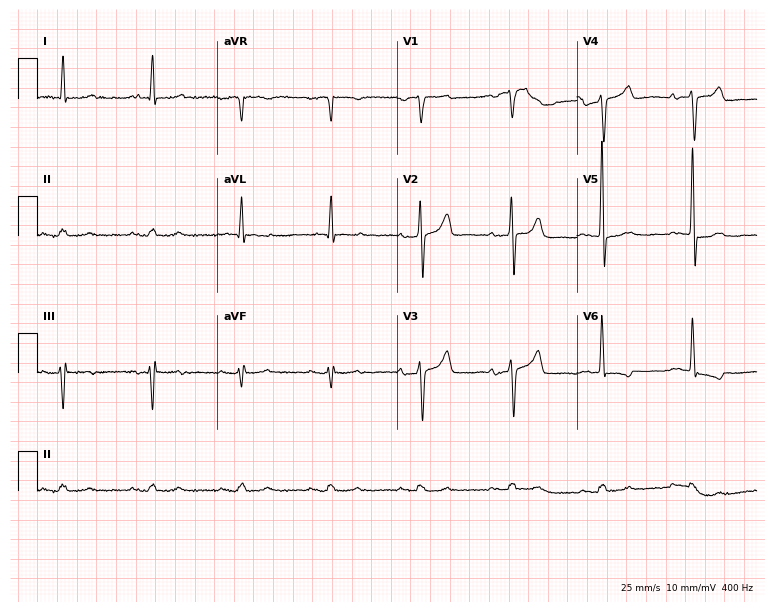
12-lead ECG from a male, 83 years old. Screened for six findings — first-degree AV block, right bundle branch block, left bundle branch block, sinus bradycardia, atrial fibrillation, sinus tachycardia — none is recorded.